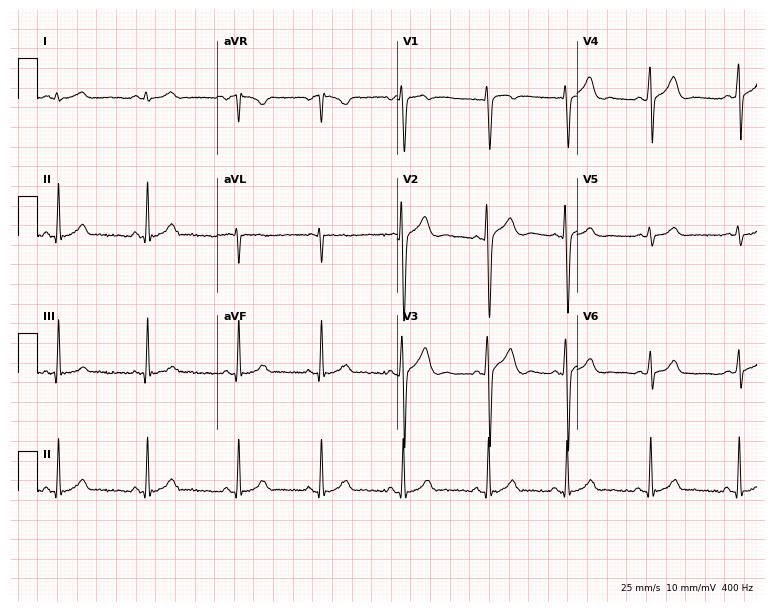
Electrocardiogram (7.3-second recording at 400 Hz), a man, 23 years old. Overall reading on record: normal ECG.